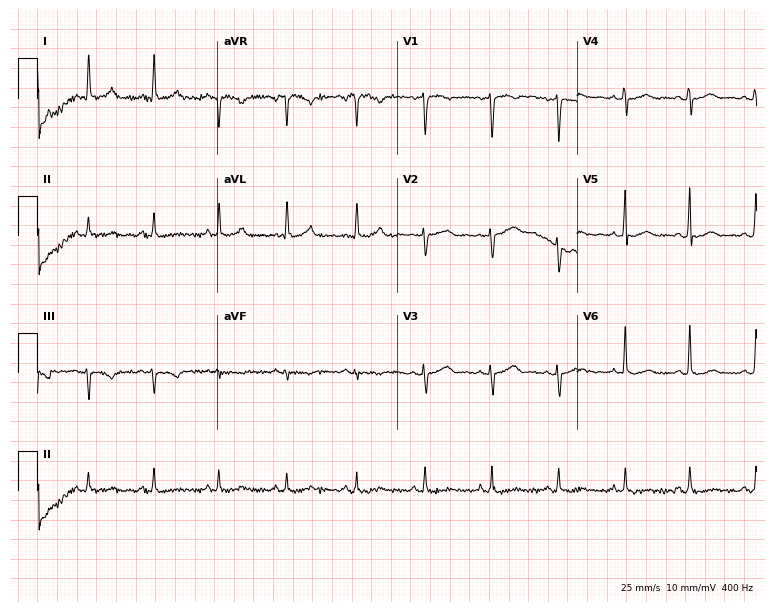
Electrocardiogram (7.3-second recording at 400 Hz), a woman, 50 years old. Of the six screened findings (first-degree AV block, right bundle branch block, left bundle branch block, sinus bradycardia, atrial fibrillation, sinus tachycardia), none is recorded. Only these six findings were labelled.